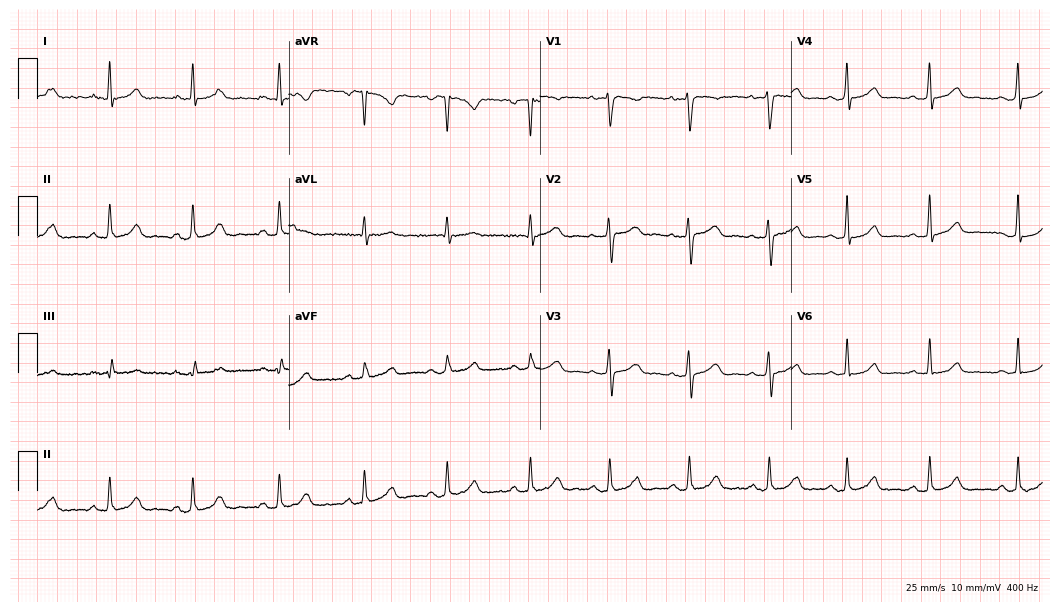
Electrocardiogram, a woman, 27 years old. Overall reading on record: normal ECG.